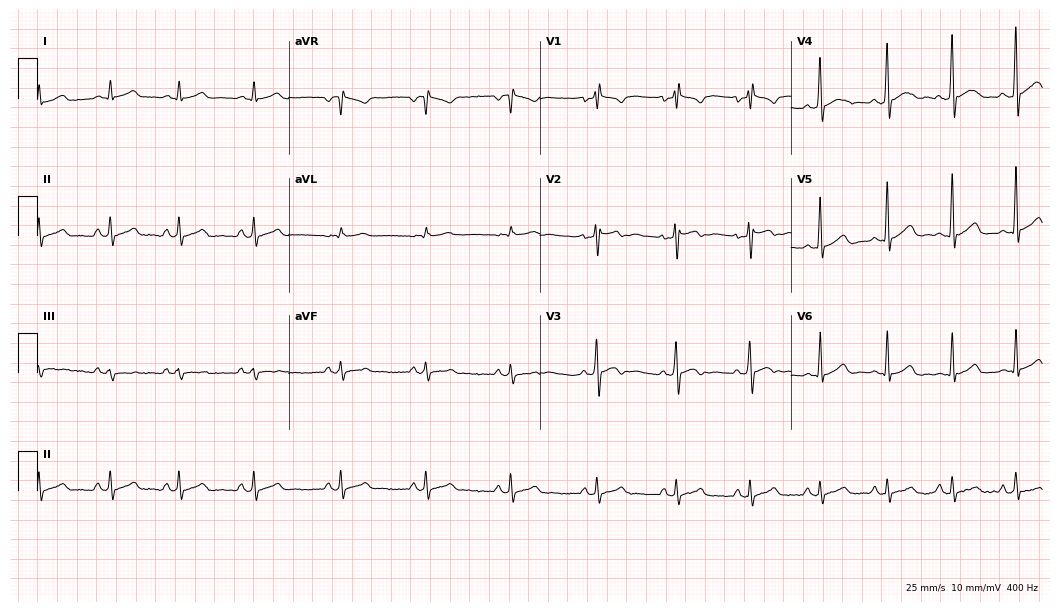
Electrocardiogram, a male patient, 23 years old. Of the six screened findings (first-degree AV block, right bundle branch block (RBBB), left bundle branch block (LBBB), sinus bradycardia, atrial fibrillation (AF), sinus tachycardia), none is recorded.